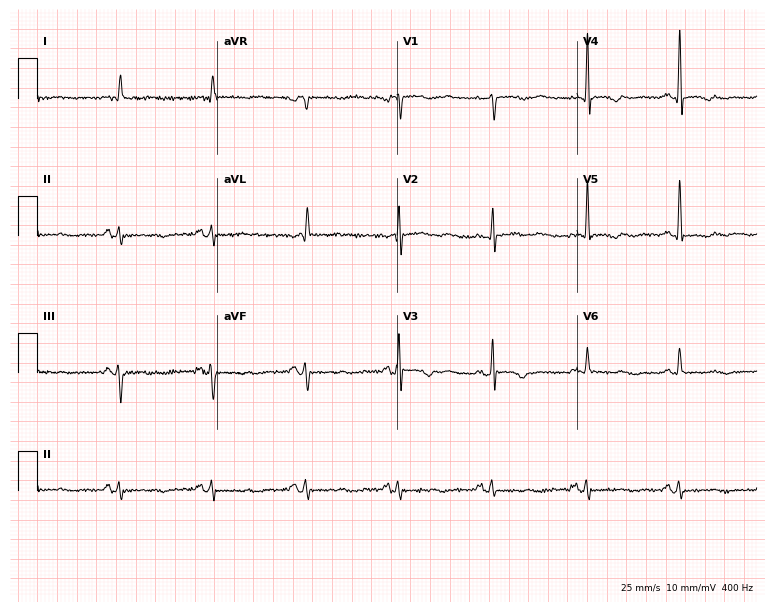
ECG (7.3-second recording at 400 Hz) — a 78-year-old male. Screened for six findings — first-degree AV block, right bundle branch block, left bundle branch block, sinus bradycardia, atrial fibrillation, sinus tachycardia — none is recorded. Findings outside these six are not listed.